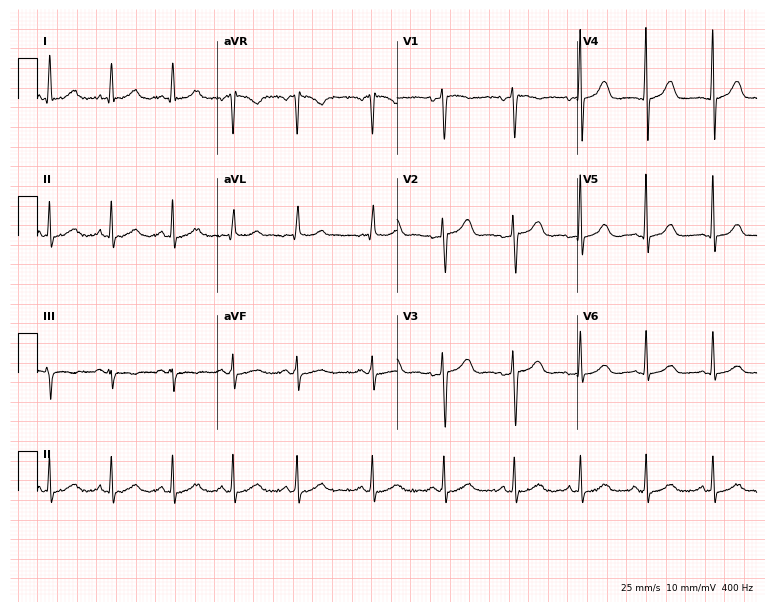
Standard 12-lead ECG recorded from a female, 45 years old. Read as a normal ECG.